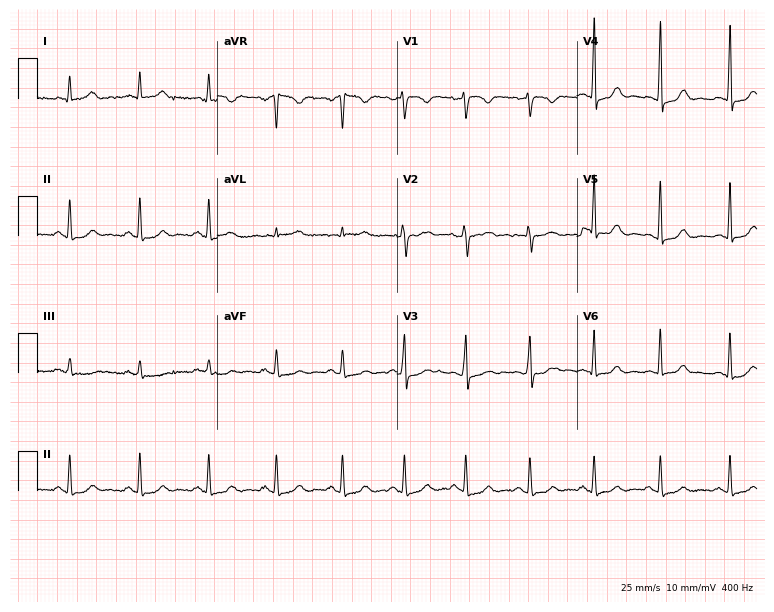
Electrocardiogram (7.3-second recording at 400 Hz), a woman, 37 years old. Of the six screened findings (first-degree AV block, right bundle branch block (RBBB), left bundle branch block (LBBB), sinus bradycardia, atrial fibrillation (AF), sinus tachycardia), none is recorded. Findings outside these six are not listed.